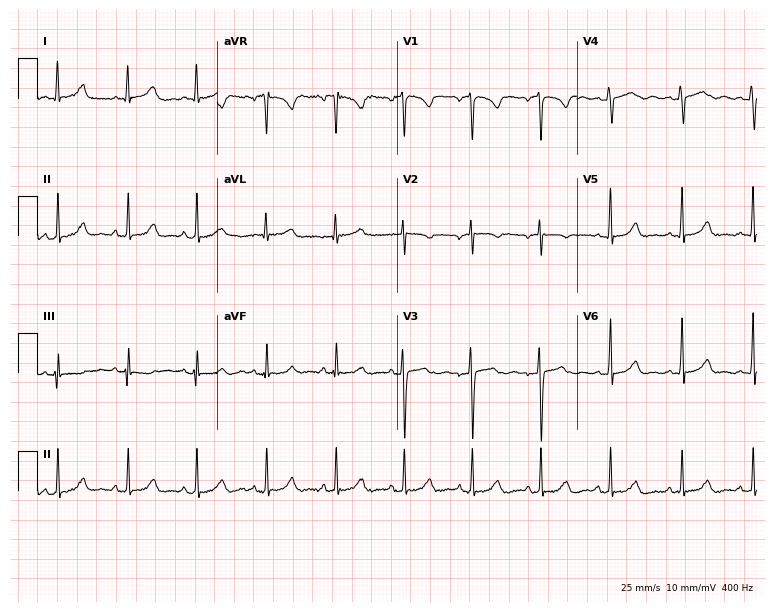
ECG (7.3-second recording at 400 Hz) — a female, 25 years old. Labelled as a normal ECG.